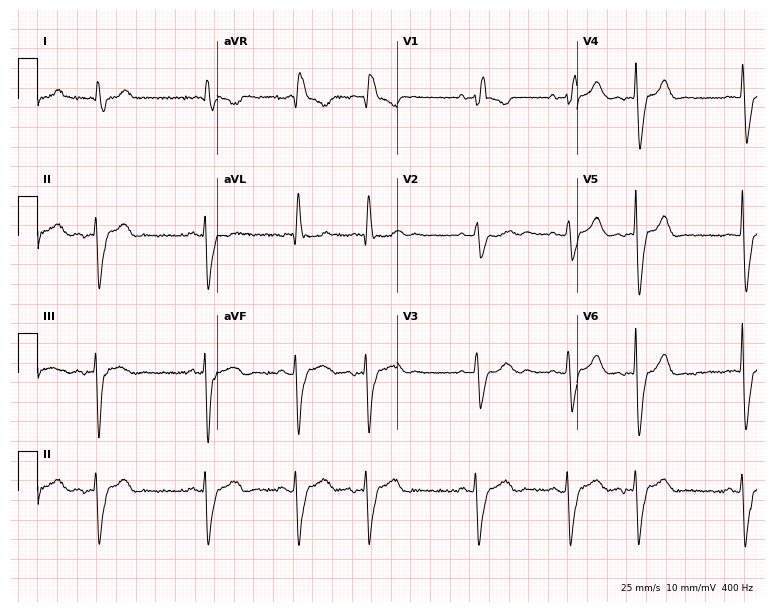
Resting 12-lead electrocardiogram. Patient: a 77-year-old female. The tracing shows right bundle branch block.